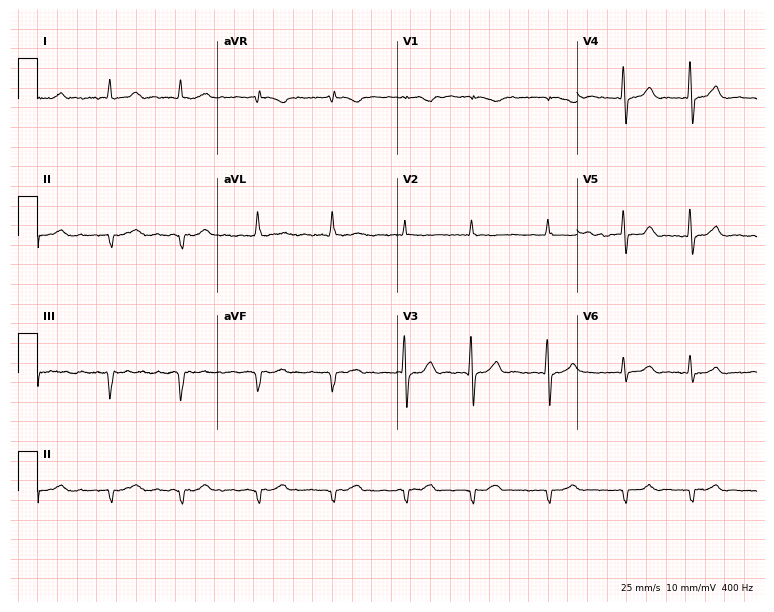
Electrocardiogram (7.3-second recording at 400 Hz), a male, 73 years old. Interpretation includes atrial fibrillation.